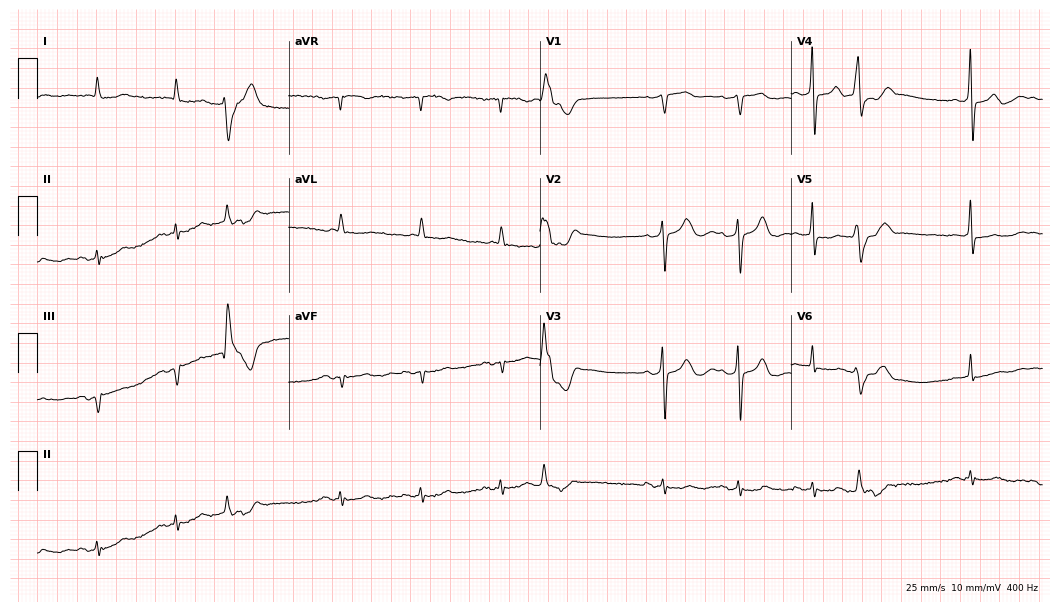
Standard 12-lead ECG recorded from an 86-year-old female patient. None of these six findings is recorded: first-degree AV block, right bundle branch block, left bundle branch block, sinus bradycardia, atrial fibrillation, sinus tachycardia.